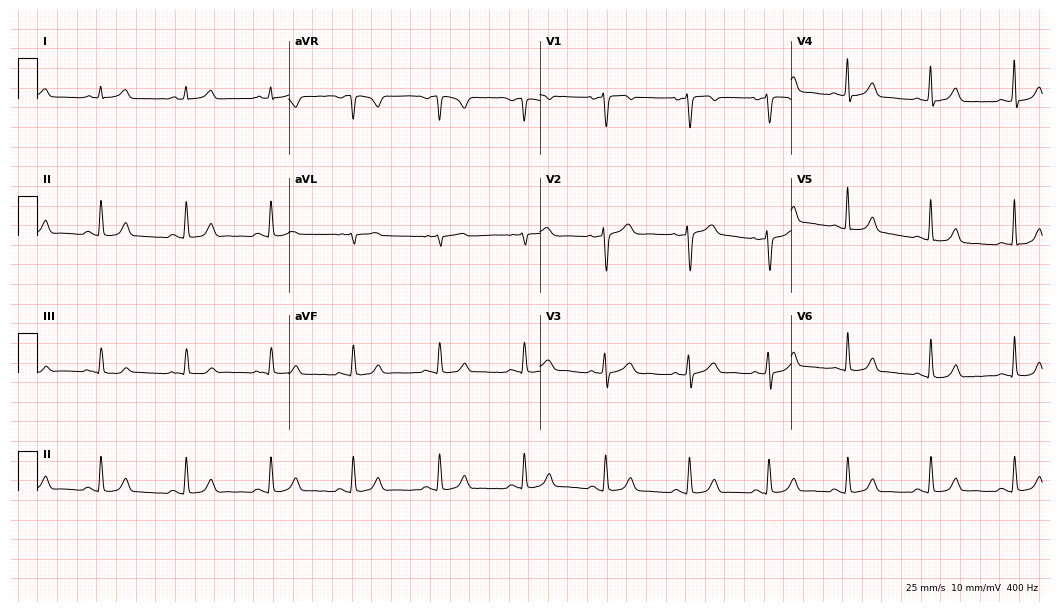
Standard 12-lead ECG recorded from a 37-year-old female patient. Read as a normal ECG.